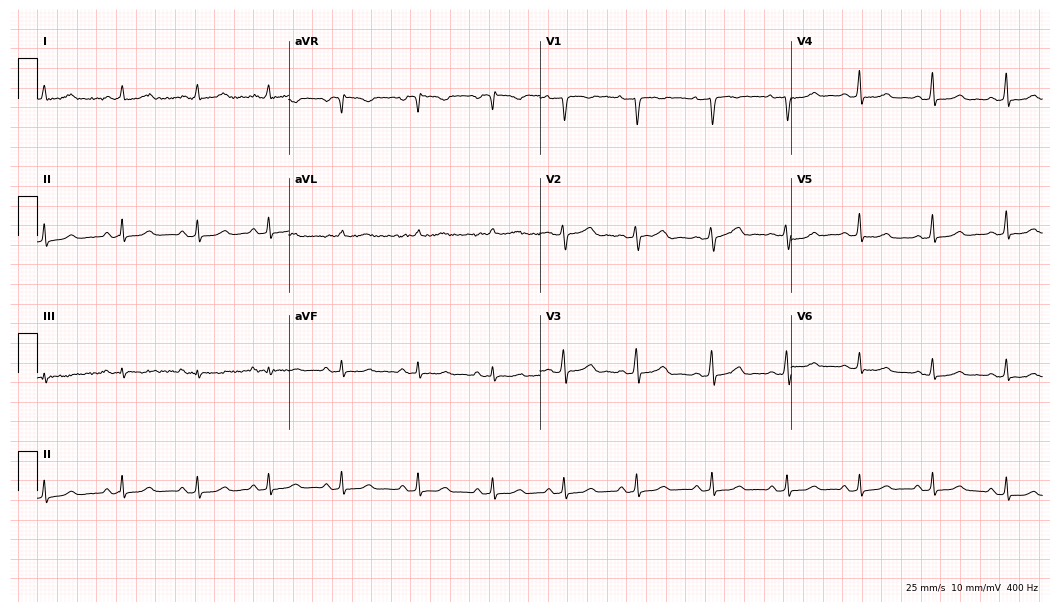
12-lead ECG from a female, 36 years old (10.2-second recording at 400 Hz). Recorded interpretation: within normal limits.